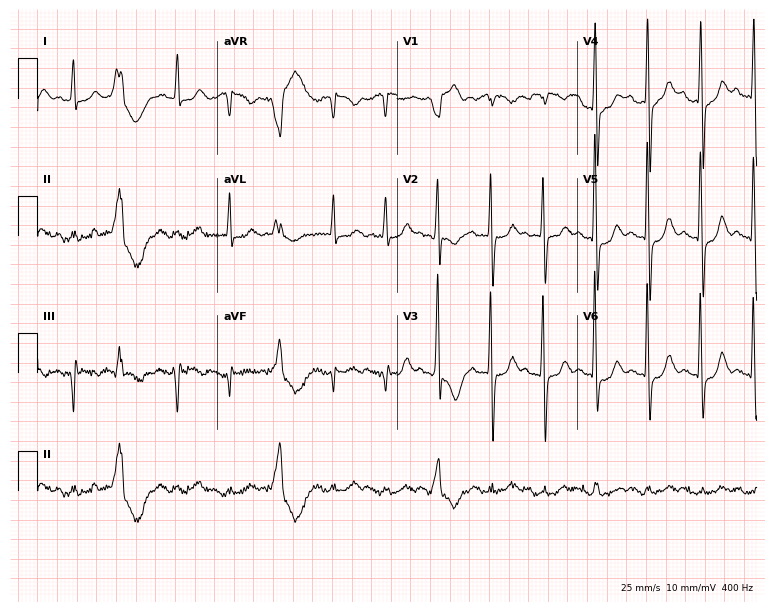
Resting 12-lead electrocardiogram. Patient: a 72-year-old man. None of these six findings is recorded: first-degree AV block, right bundle branch block, left bundle branch block, sinus bradycardia, atrial fibrillation, sinus tachycardia.